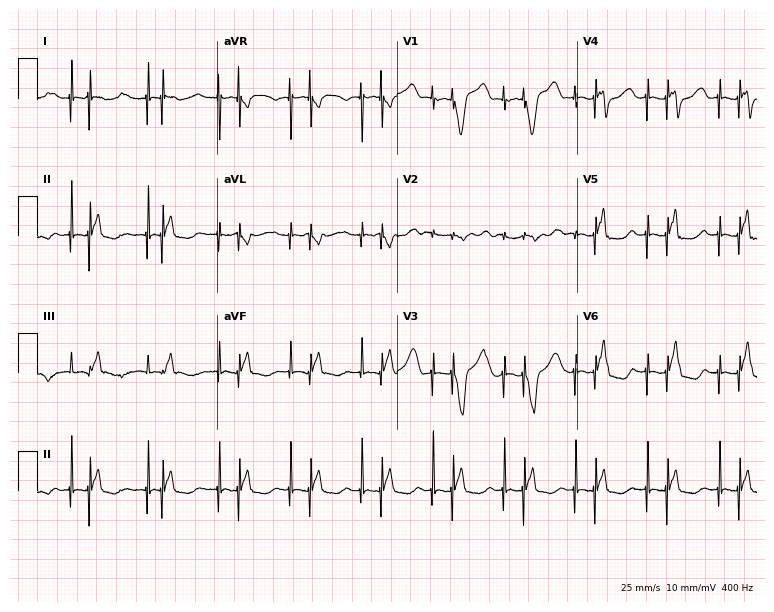
12-lead ECG (7.3-second recording at 400 Hz) from a male, 84 years old. Screened for six findings — first-degree AV block, right bundle branch block, left bundle branch block, sinus bradycardia, atrial fibrillation, sinus tachycardia — none is recorded.